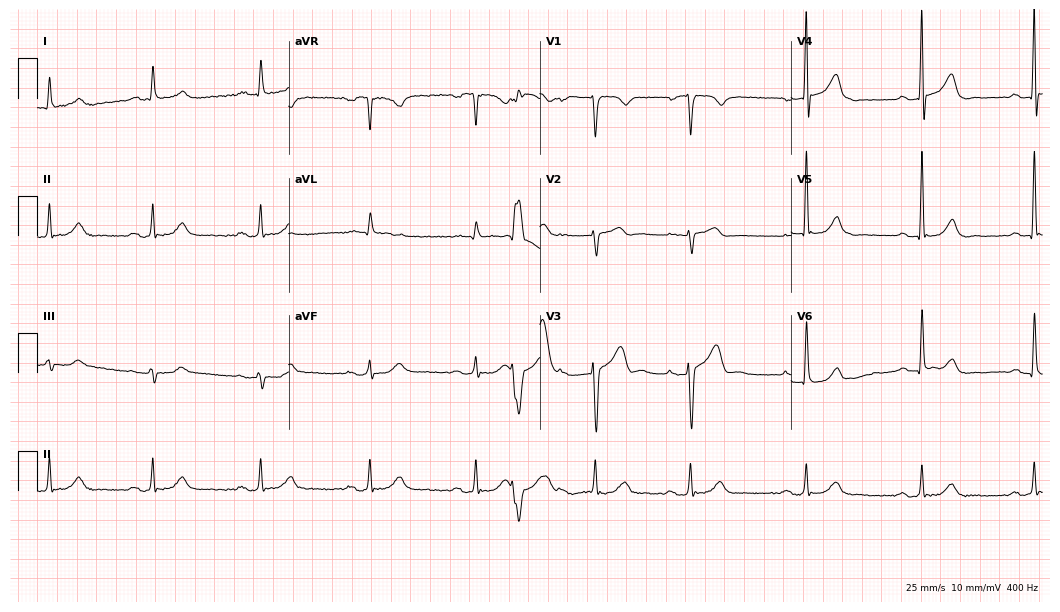
Resting 12-lead electrocardiogram. Patient: a male, 67 years old. None of these six findings is recorded: first-degree AV block, right bundle branch block, left bundle branch block, sinus bradycardia, atrial fibrillation, sinus tachycardia. Findings outside these six are not listed.